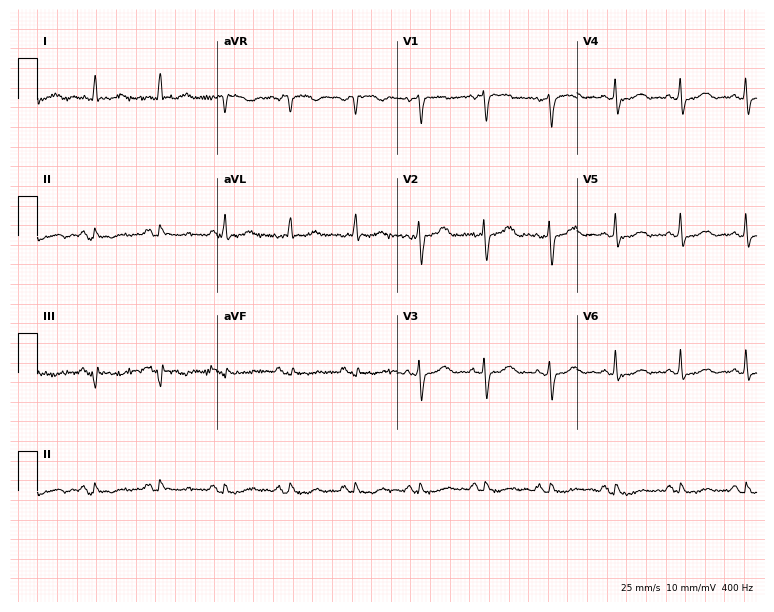
ECG — an 80-year-old woman. Labelled as a normal ECG.